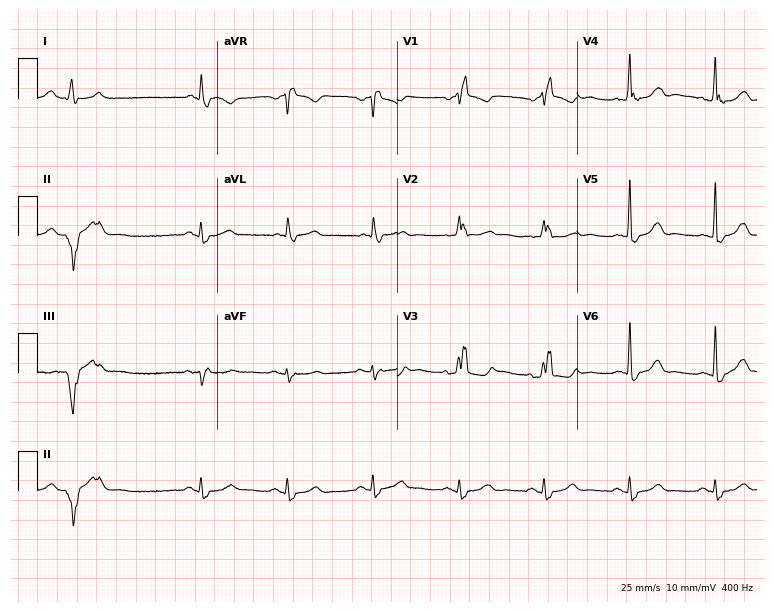
ECG (7.3-second recording at 400 Hz) — a 78-year-old man. Findings include right bundle branch block.